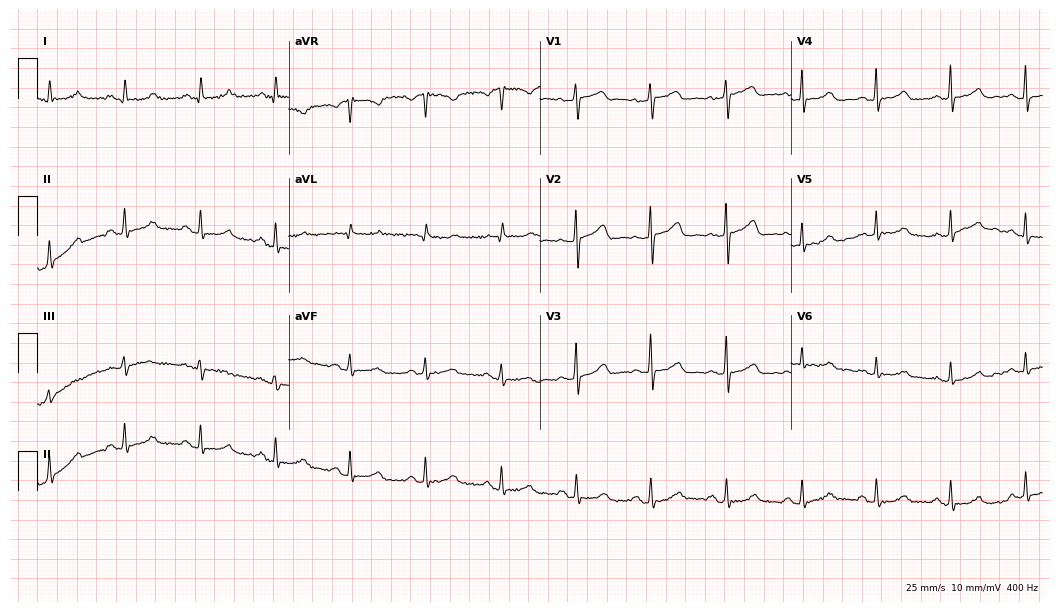
Resting 12-lead electrocardiogram (10.2-second recording at 400 Hz). Patient: a 64-year-old female. Read as a normal ECG.